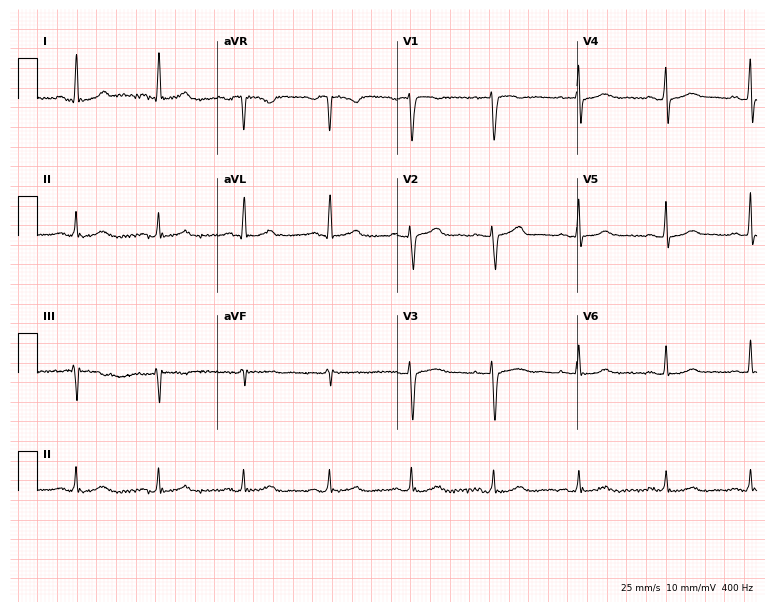
Electrocardiogram (7.3-second recording at 400 Hz), a 56-year-old female. Of the six screened findings (first-degree AV block, right bundle branch block (RBBB), left bundle branch block (LBBB), sinus bradycardia, atrial fibrillation (AF), sinus tachycardia), none is recorded. Findings outside these six are not listed.